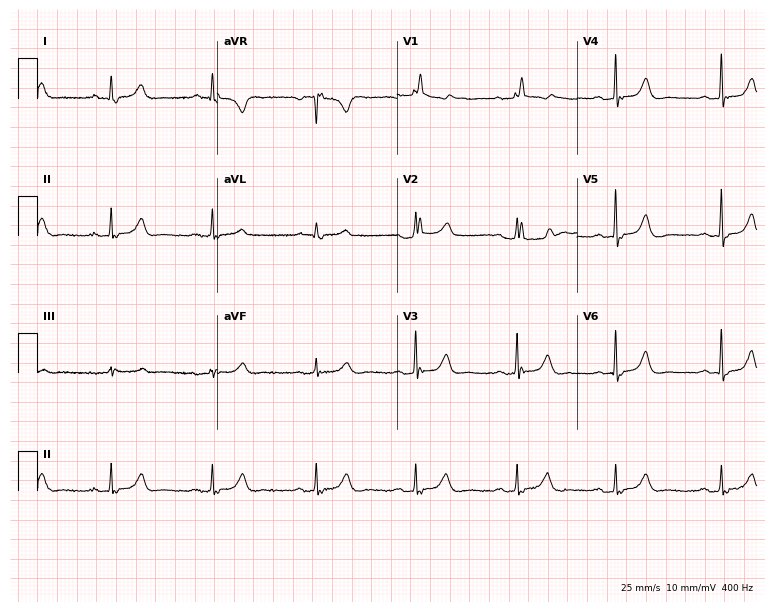
12-lead ECG from an 83-year-old male patient. Findings include right bundle branch block.